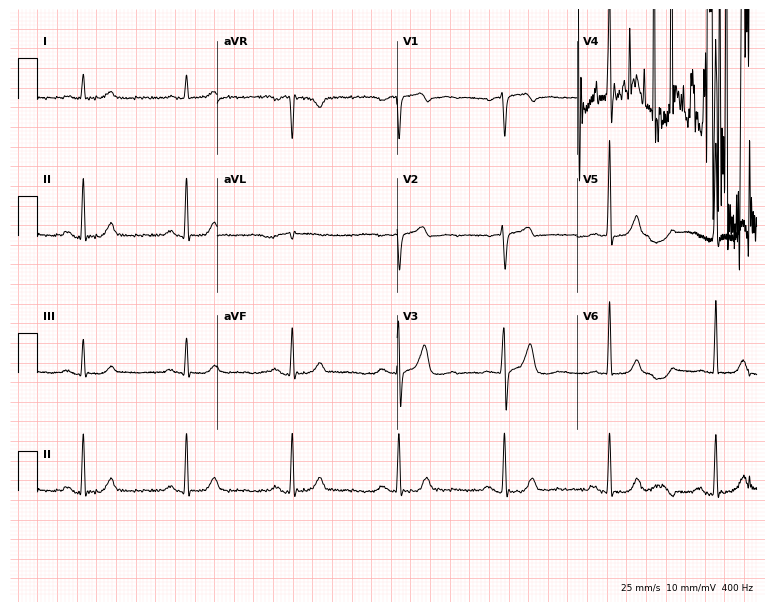
12-lead ECG from a man, 65 years old (7.3-second recording at 400 Hz). No first-degree AV block, right bundle branch block, left bundle branch block, sinus bradycardia, atrial fibrillation or sinus tachycardia recorded for this tracing.